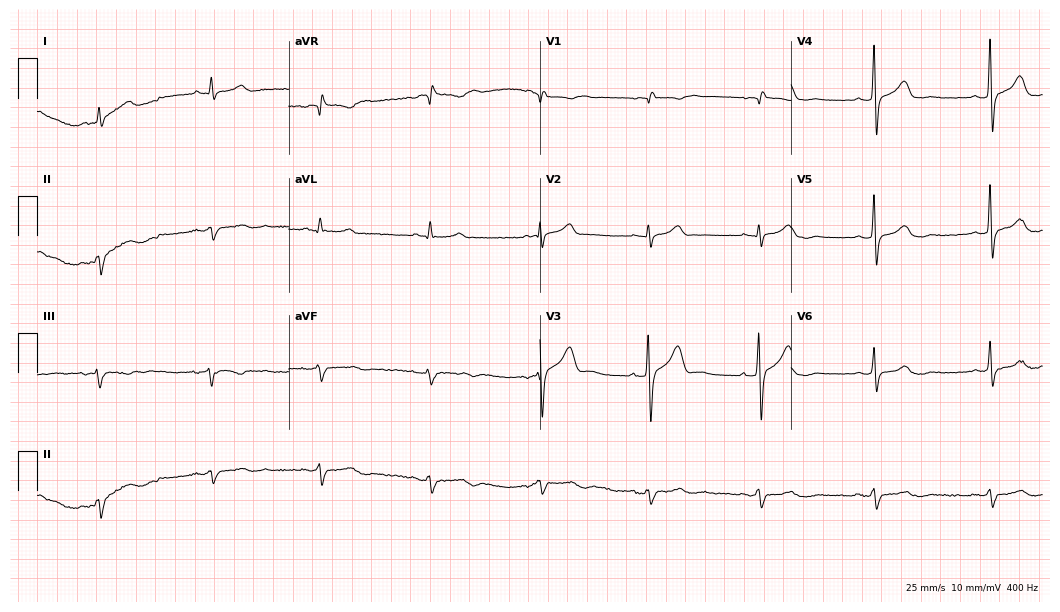
Electrocardiogram, a male patient, 63 years old. Of the six screened findings (first-degree AV block, right bundle branch block (RBBB), left bundle branch block (LBBB), sinus bradycardia, atrial fibrillation (AF), sinus tachycardia), none is recorded.